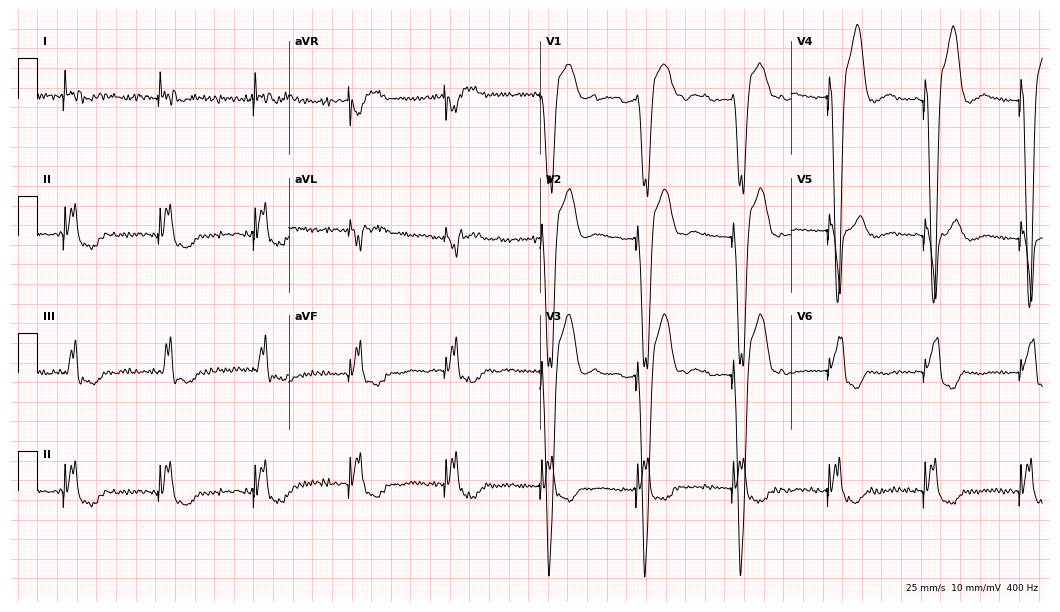
ECG (10.2-second recording at 400 Hz) — a female, 75 years old. Screened for six findings — first-degree AV block, right bundle branch block (RBBB), left bundle branch block (LBBB), sinus bradycardia, atrial fibrillation (AF), sinus tachycardia — none is recorded. Only these six findings were labelled.